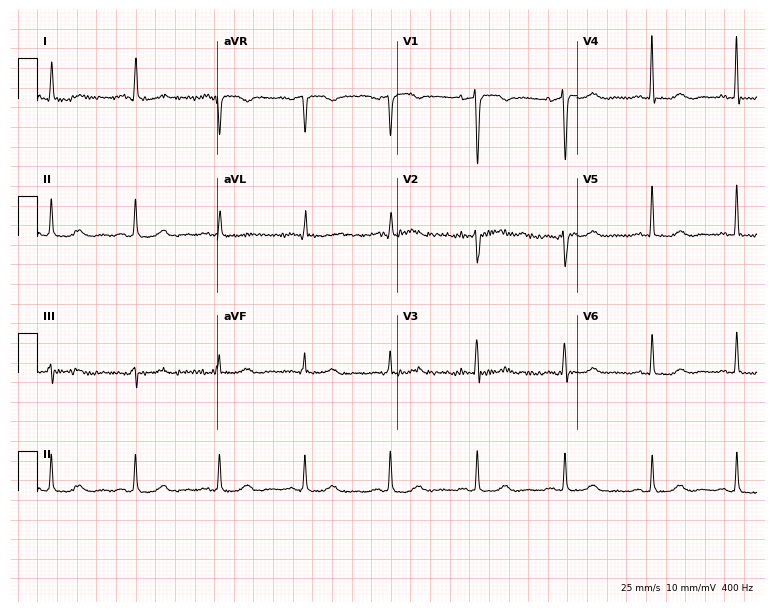
Electrocardiogram, a female, 72 years old. Overall reading on record: normal ECG.